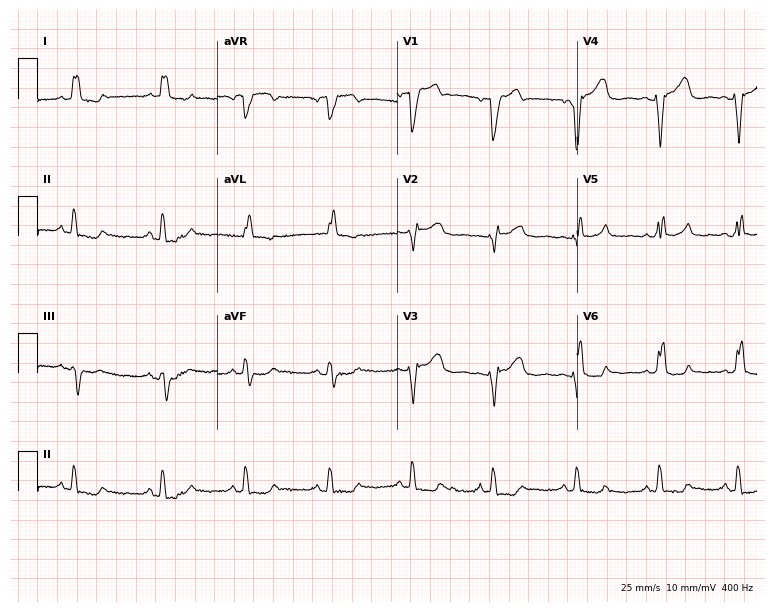
12-lead ECG (7.3-second recording at 400 Hz) from a 58-year-old female. Findings include left bundle branch block.